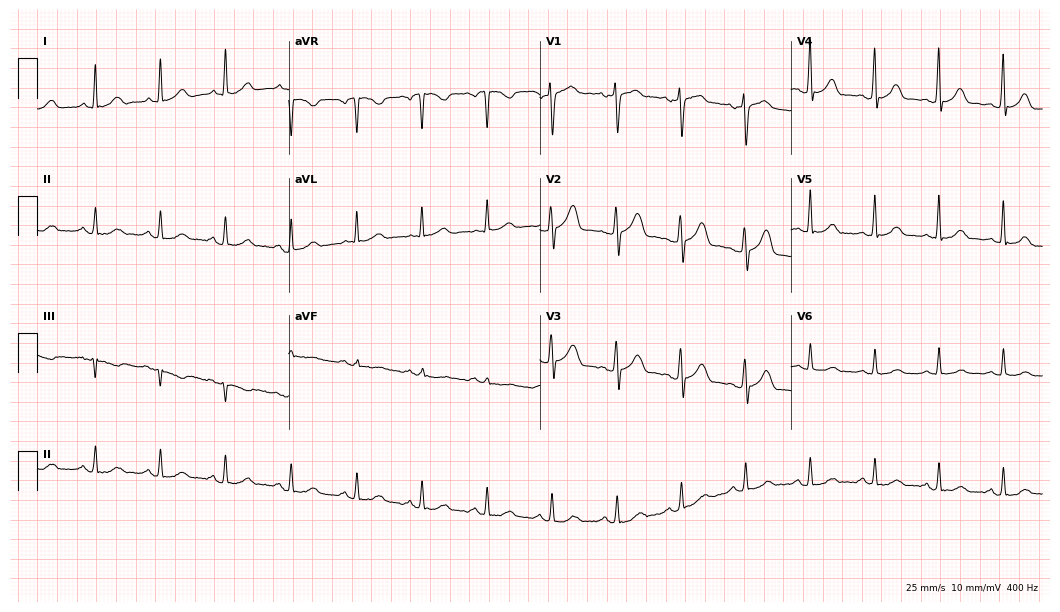
Standard 12-lead ECG recorded from a female patient, 60 years old (10.2-second recording at 400 Hz). Read as a normal ECG.